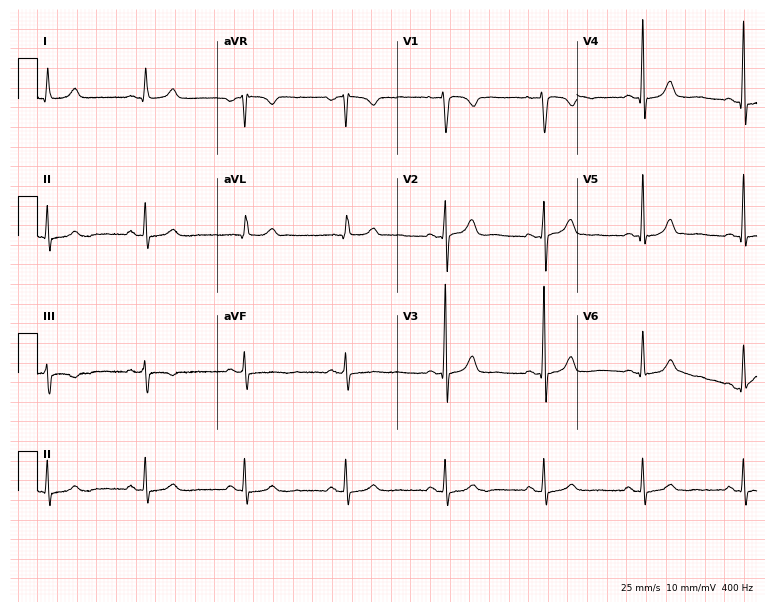
Standard 12-lead ECG recorded from a 44-year-old female patient (7.3-second recording at 400 Hz). Read as a normal ECG.